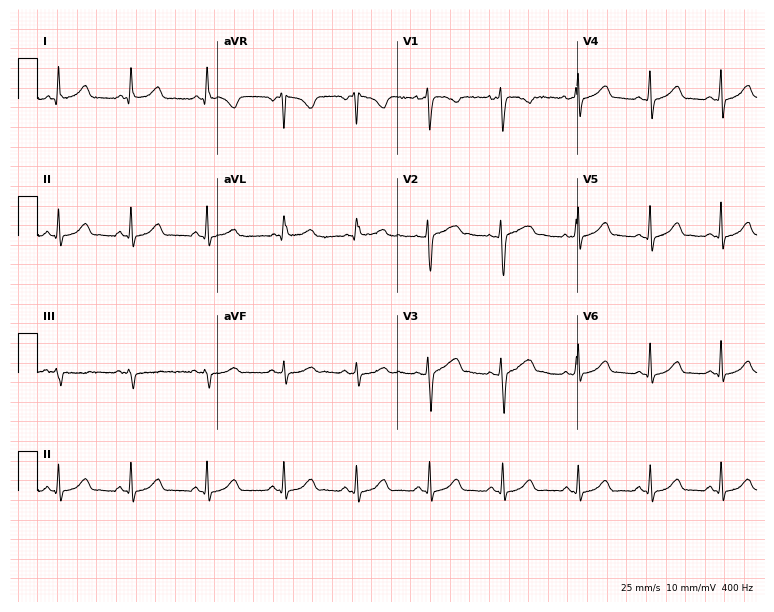
Resting 12-lead electrocardiogram. Patient: a 27-year-old female. Read as a normal ECG.